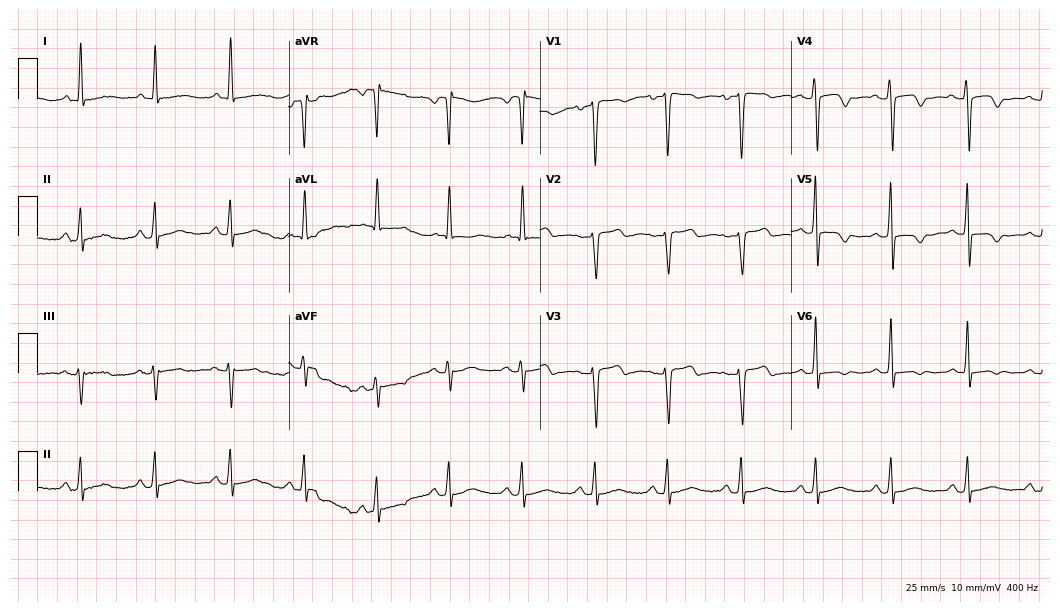
Standard 12-lead ECG recorded from a female, 64 years old. None of these six findings is recorded: first-degree AV block, right bundle branch block, left bundle branch block, sinus bradycardia, atrial fibrillation, sinus tachycardia.